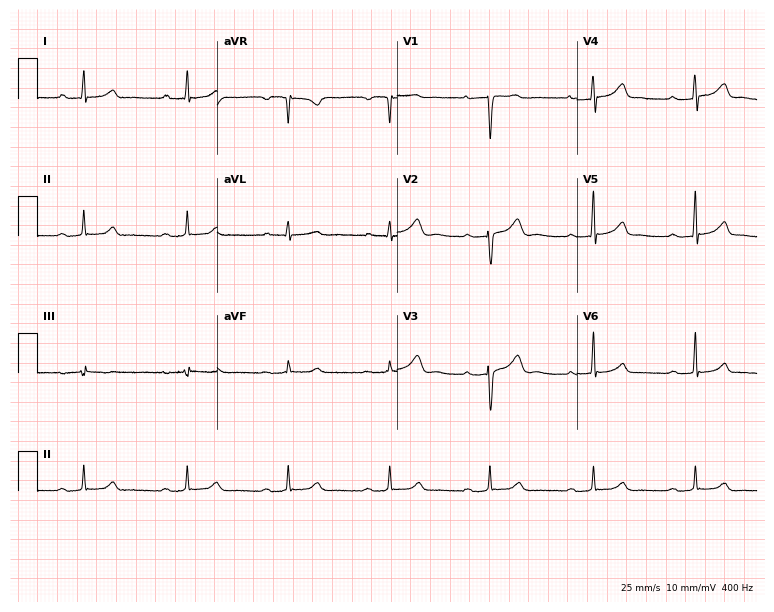
Standard 12-lead ECG recorded from a female, 42 years old (7.3-second recording at 400 Hz). None of these six findings is recorded: first-degree AV block, right bundle branch block, left bundle branch block, sinus bradycardia, atrial fibrillation, sinus tachycardia. Only these six findings were labelled.